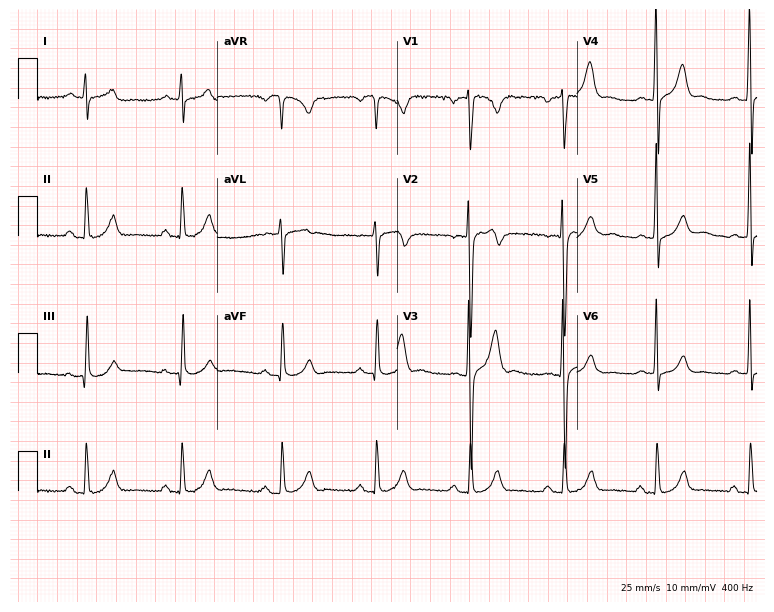
12-lead ECG from a male patient, 33 years old. Screened for six findings — first-degree AV block, right bundle branch block, left bundle branch block, sinus bradycardia, atrial fibrillation, sinus tachycardia — none is recorded. Findings outside these six are not listed.